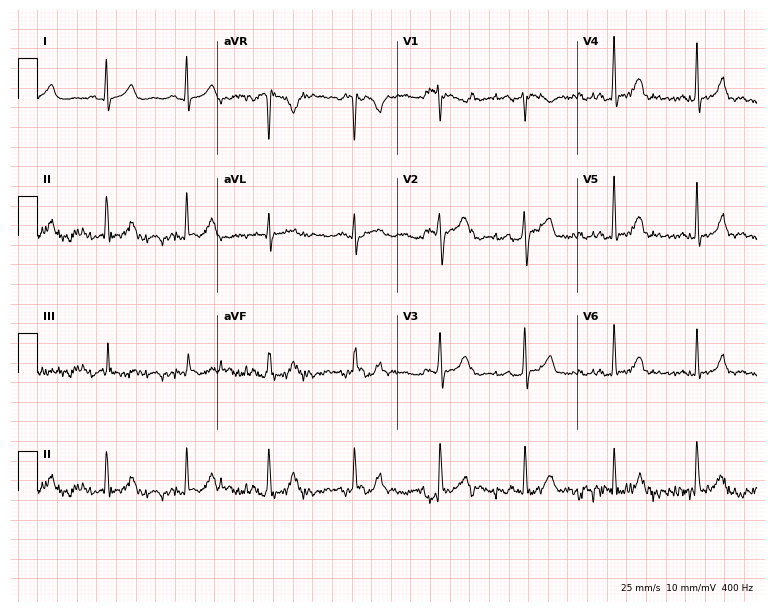
12-lead ECG from a 45-year-old female (7.3-second recording at 400 Hz). Recorded interpretation: within normal limits.